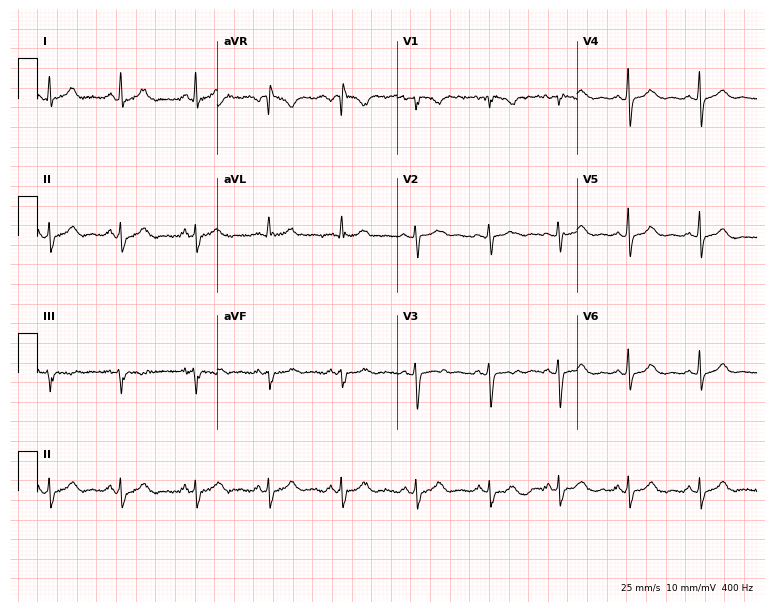
Electrocardiogram (7.3-second recording at 400 Hz), a female, 22 years old. Of the six screened findings (first-degree AV block, right bundle branch block, left bundle branch block, sinus bradycardia, atrial fibrillation, sinus tachycardia), none is recorded.